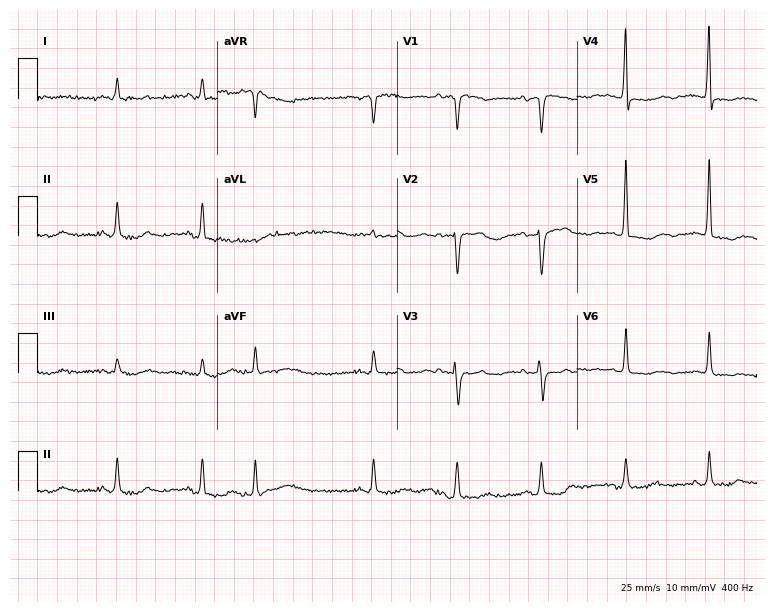
ECG (7.3-second recording at 400 Hz) — a female patient, 79 years old. Screened for six findings — first-degree AV block, right bundle branch block, left bundle branch block, sinus bradycardia, atrial fibrillation, sinus tachycardia — none is recorded. Only these six findings were labelled.